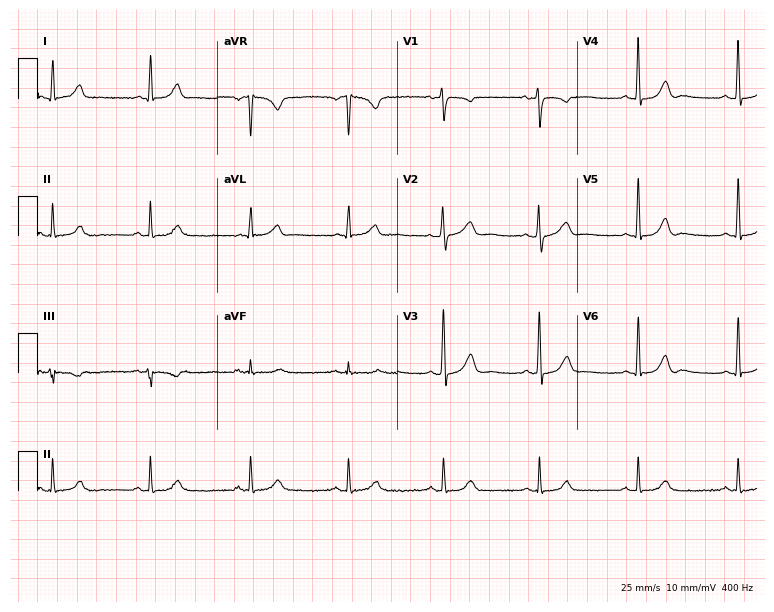
12-lead ECG from a female, 52 years old. Labelled as a normal ECG.